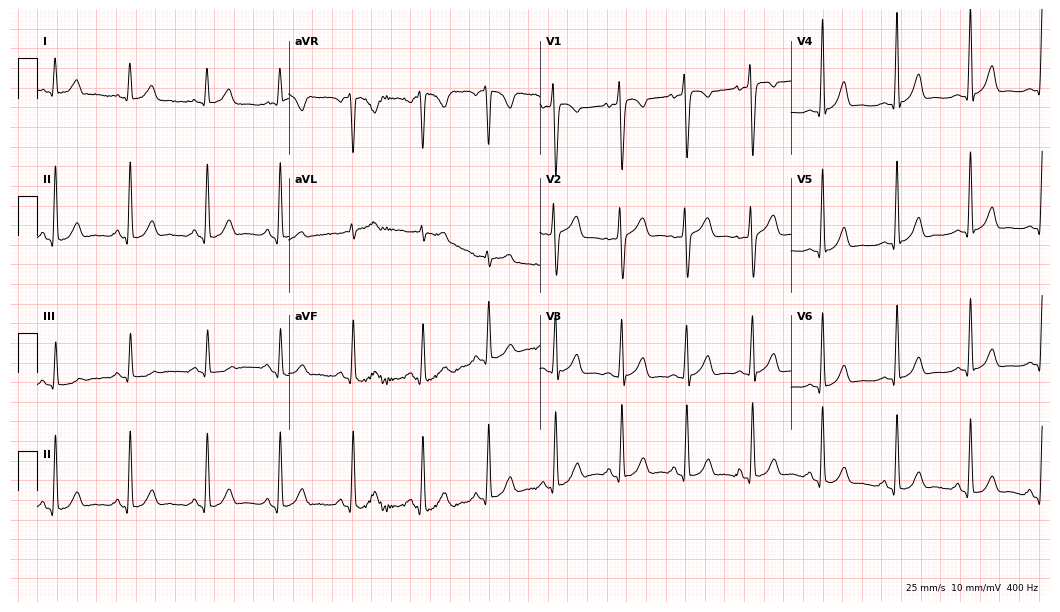
Electrocardiogram (10.2-second recording at 400 Hz), a 23-year-old male. Of the six screened findings (first-degree AV block, right bundle branch block, left bundle branch block, sinus bradycardia, atrial fibrillation, sinus tachycardia), none is recorded.